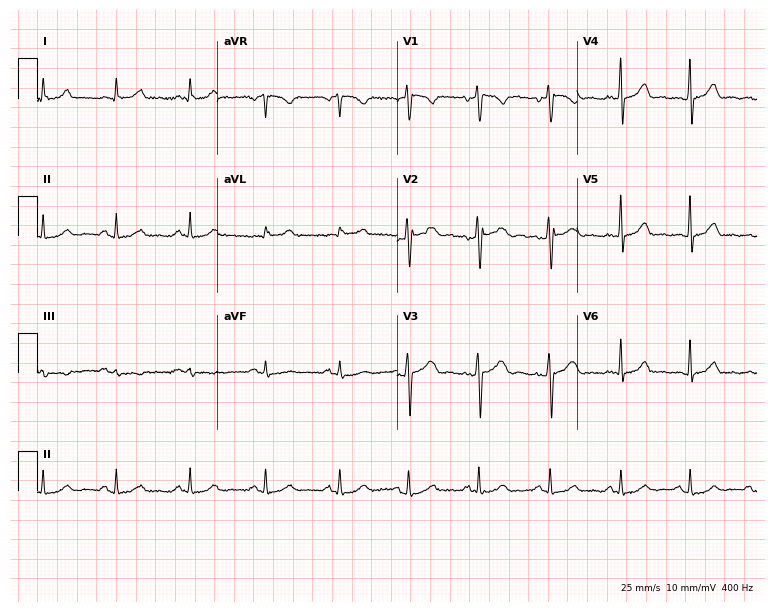
12-lead ECG from a 42-year-old male. No first-degree AV block, right bundle branch block, left bundle branch block, sinus bradycardia, atrial fibrillation or sinus tachycardia recorded for this tracing. Only these six findings were labelled.